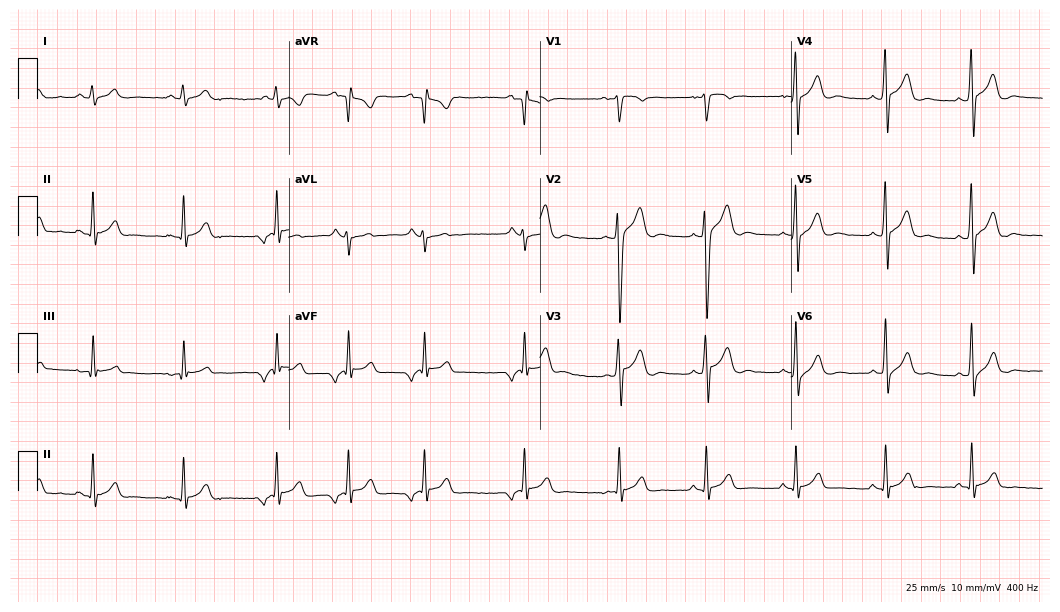
Standard 12-lead ECG recorded from a 17-year-old male patient (10.2-second recording at 400 Hz). Read as a normal ECG.